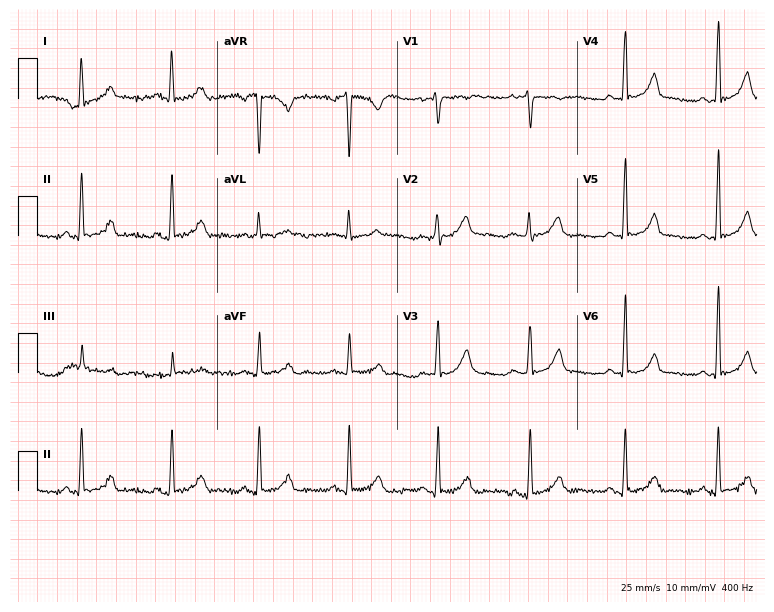
Electrocardiogram, a female patient, 55 years old. Overall reading on record: normal ECG.